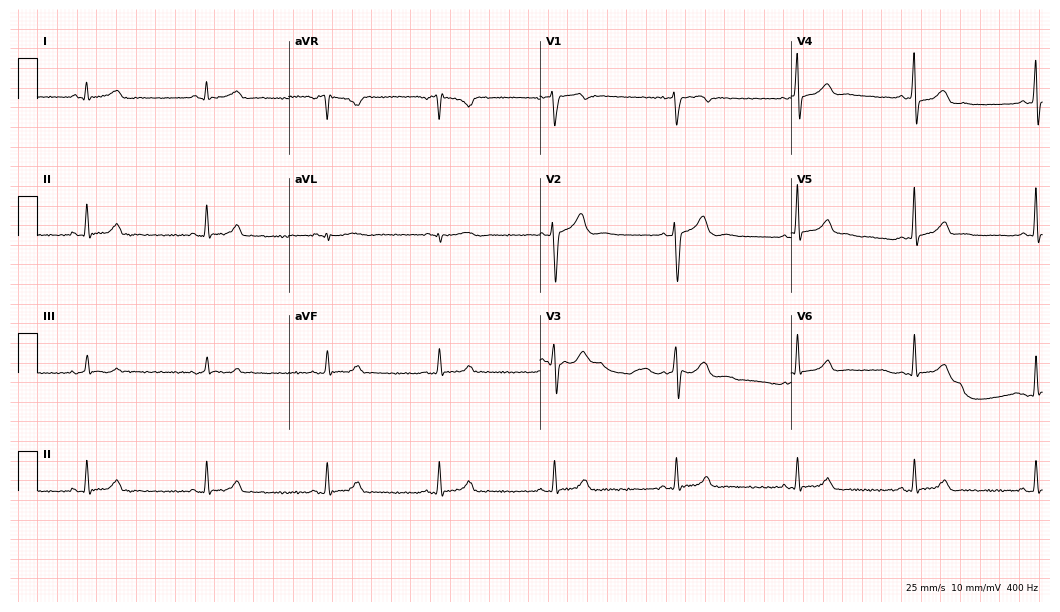
ECG (10.2-second recording at 400 Hz) — a male patient, 22 years old. Screened for six findings — first-degree AV block, right bundle branch block (RBBB), left bundle branch block (LBBB), sinus bradycardia, atrial fibrillation (AF), sinus tachycardia — none is recorded. Other findings, if any, are not listed.